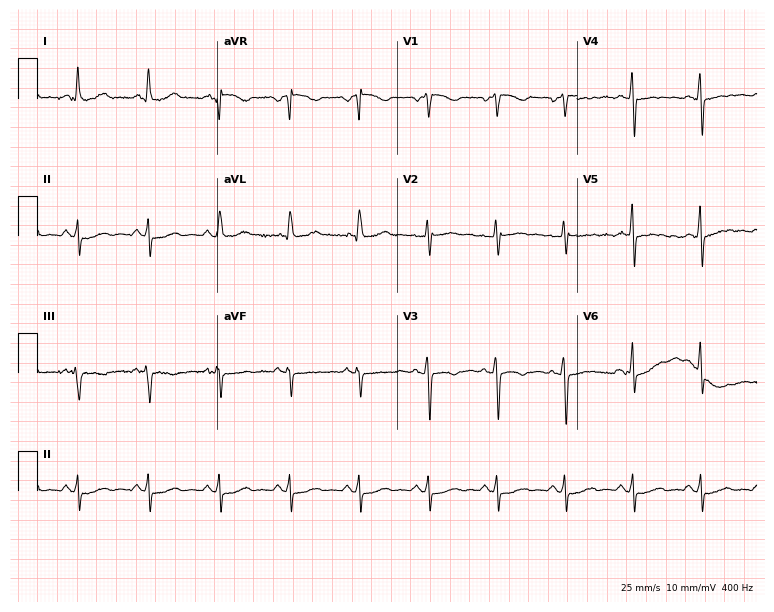
Standard 12-lead ECG recorded from a woman, 41 years old (7.3-second recording at 400 Hz). None of these six findings is recorded: first-degree AV block, right bundle branch block, left bundle branch block, sinus bradycardia, atrial fibrillation, sinus tachycardia.